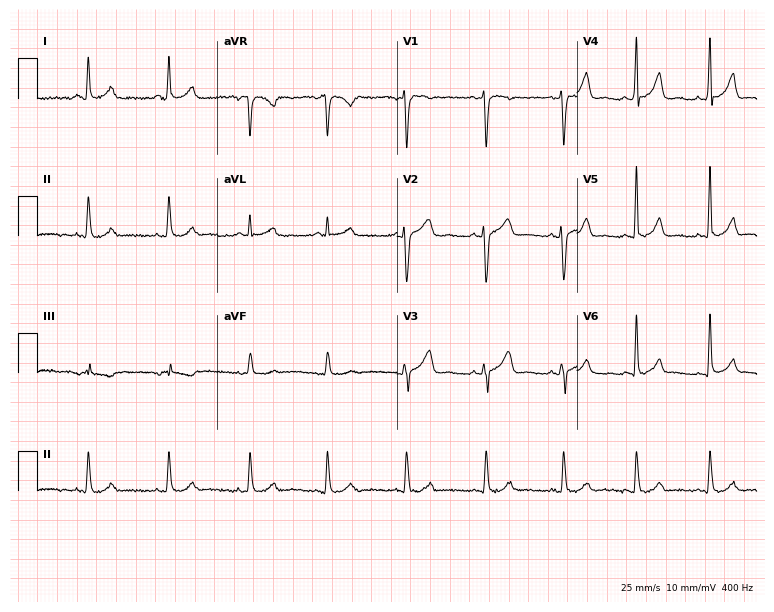
12-lead ECG from a female patient, 30 years old. Labelled as a normal ECG.